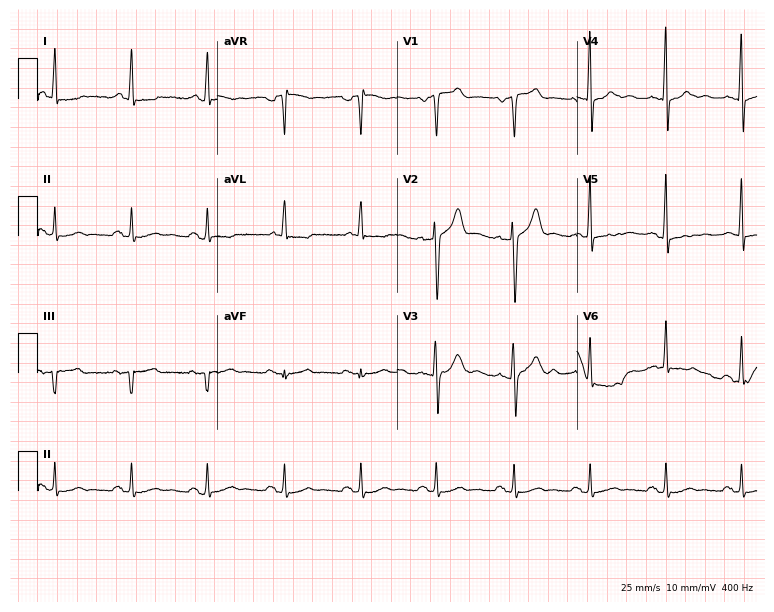
Electrocardiogram (7.3-second recording at 400 Hz), a 57-year-old male. Of the six screened findings (first-degree AV block, right bundle branch block (RBBB), left bundle branch block (LBBB), sinus bradycardia, atrial fibrillation (AF), sinus tachycardia), none is recorded. Only these six findings were labelled.